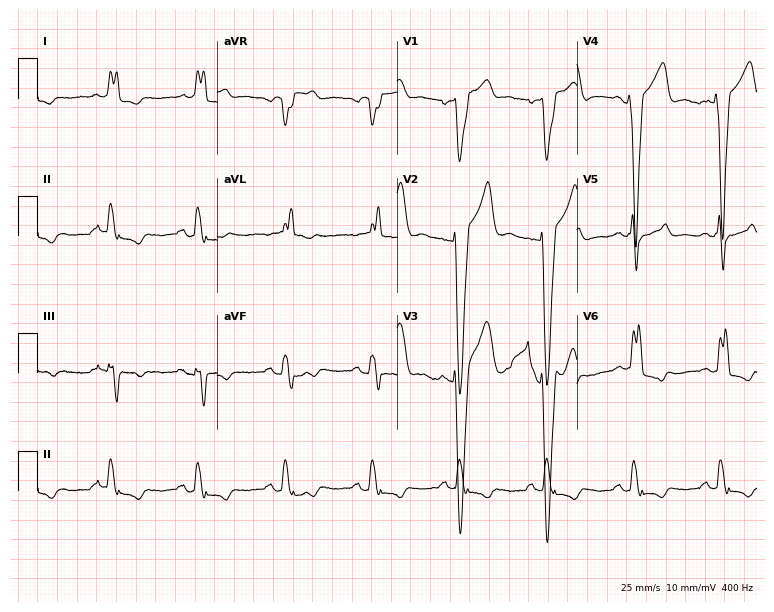
12-lead ECG from a man, 83 years old (7.3-second recording at 400 Hz). Shows left bundle branch block (LBBB).